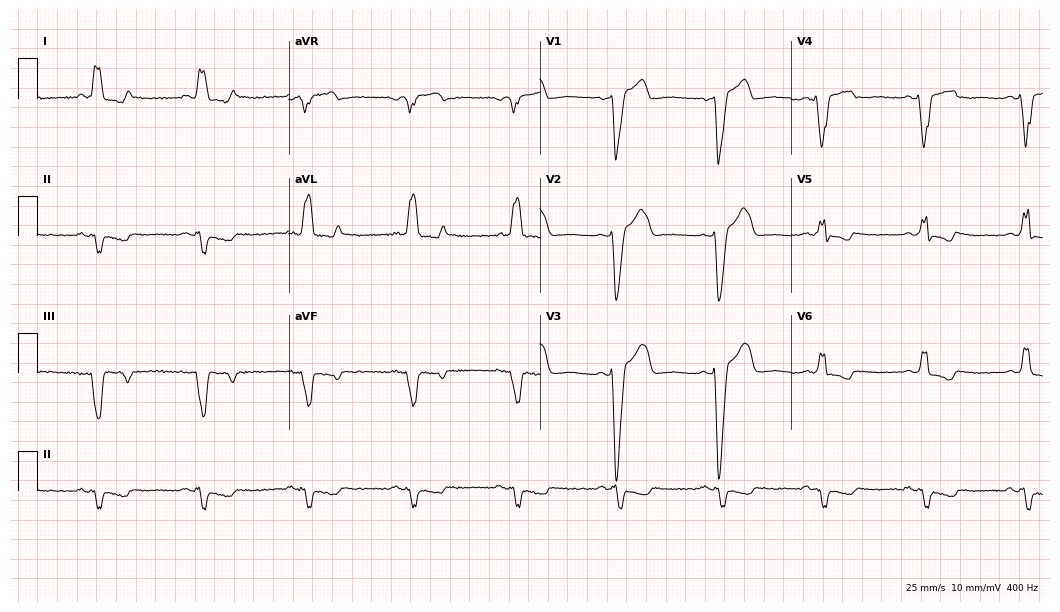
12-lead ECG from a 75-year-old male (10.2-second recording at 400 Hz). Shows left bundle branch block (LBBB).